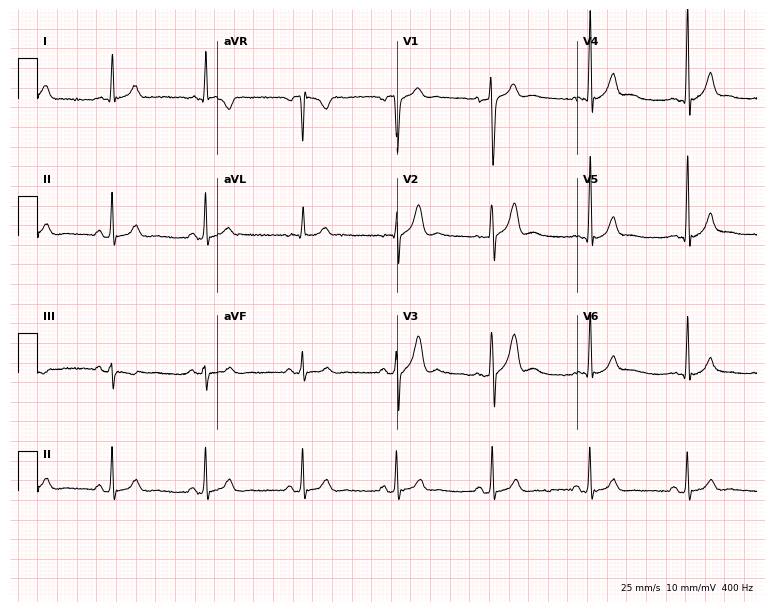
12-lead ECG from a 38-year-old man. Recorded interpretation: within normal limits.